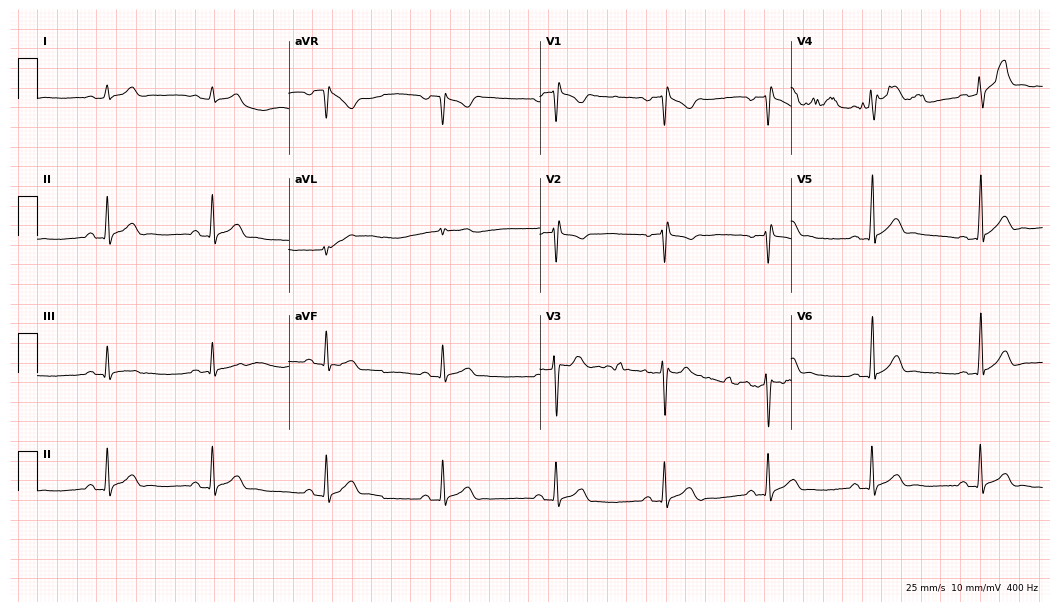
Standard 12-lead ECG recorded from a 21-year-old man. None of these six findings is recorded: first-degree AV block, right bundle branch block, left bundle branch block, sinus bradycardia, atrial fibrillation, sinus tachycardia. Only these six findings were labelled.